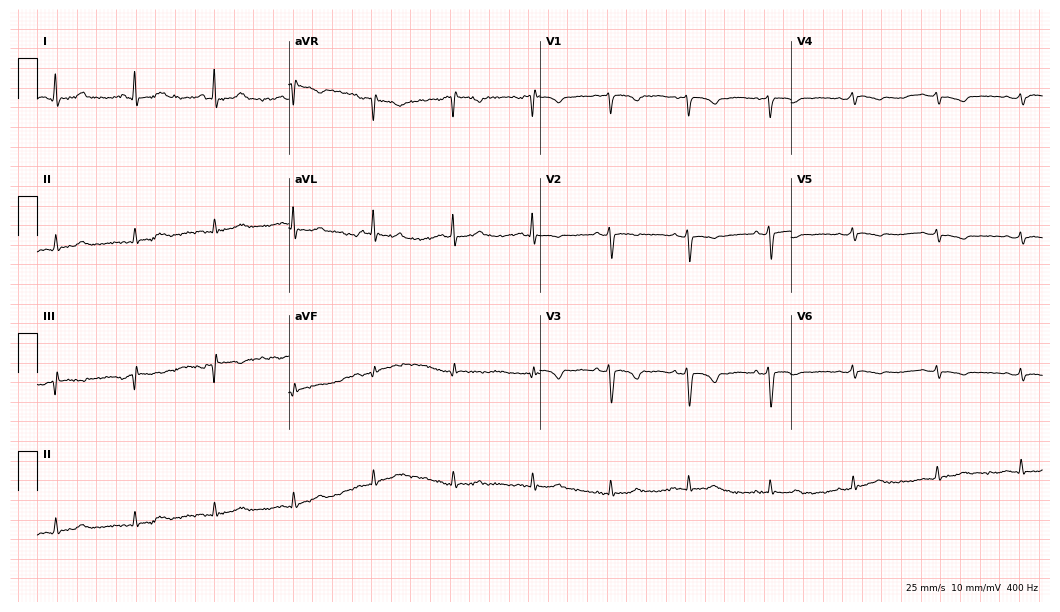
Resting 12-lead electrocardiogram. Patient: a female, 46 years old. None of these six findings is recorded: first-degree AV block, right bundle branch block, left bundle branch block, sinus bradycardia, atrial fibrillation, sinus tachycardia.